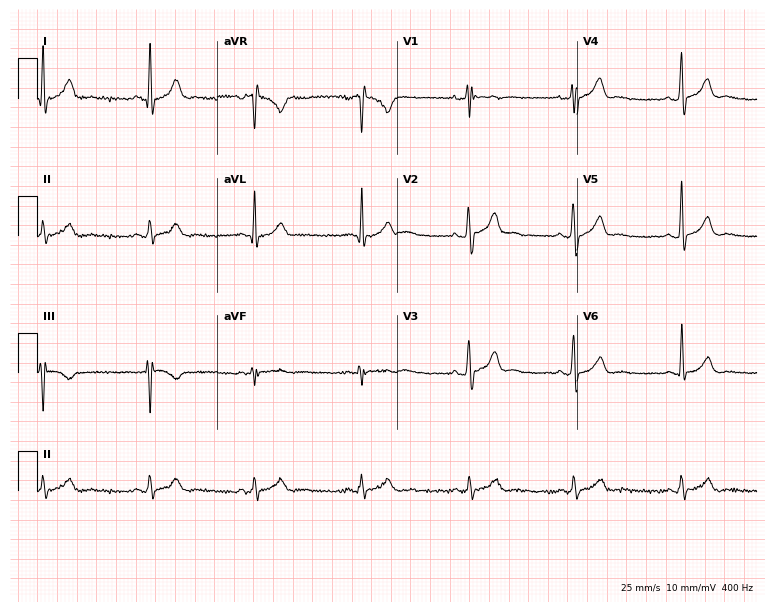
Standard 12-lead ECG recorded from a 28-year-old male (7.3-second recording at 400 Hz). Read as a normal ECG.